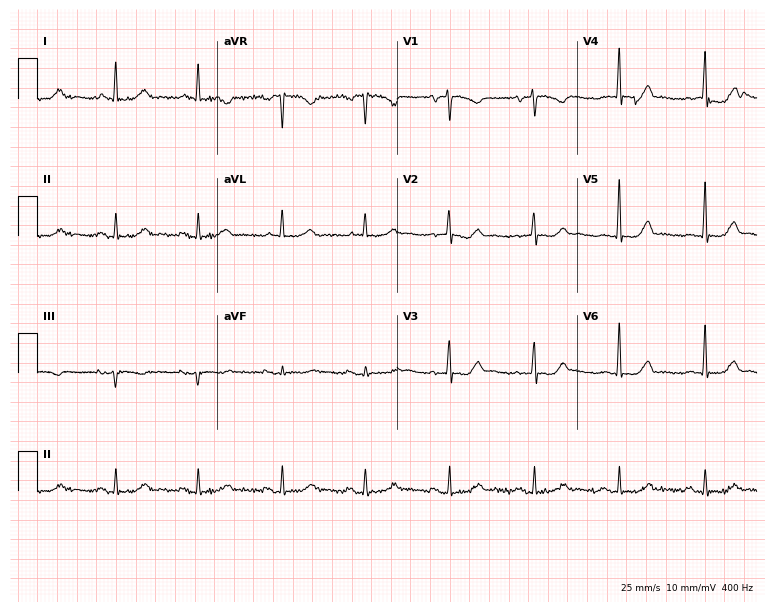
Resting 12-lead electrocardiogram. Patient: a female, 67 years old. None of these six findings is recorded: first-degree AV block, right bundle branch block, left bundle branch block, sinus bradycardia, atrial fibrillation, sinus tachycardia. Findings outside these six are not listed.